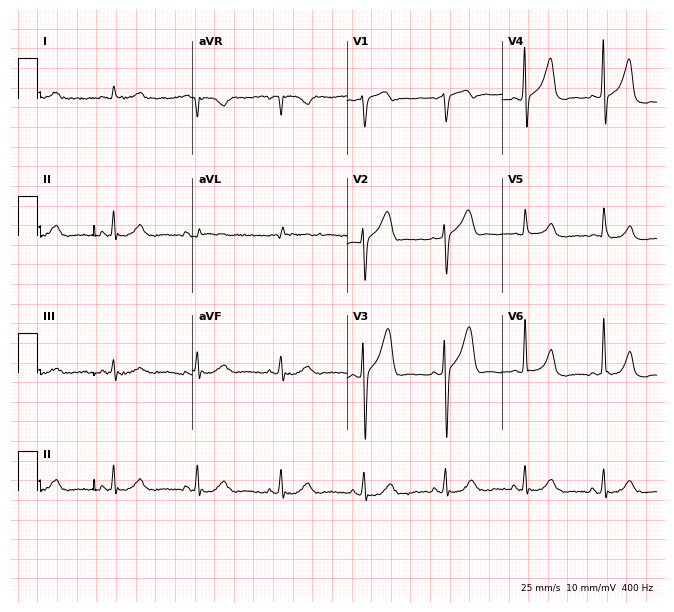
12-lead ECG from a man, 66 years old. Screened for six findings — first-degree AV block, right bundle branch block, left bundle branch block, sinus bradycardia, atrial fibrillation, sinus tachycardia — none is recorded. Findings outside these six are not listed.